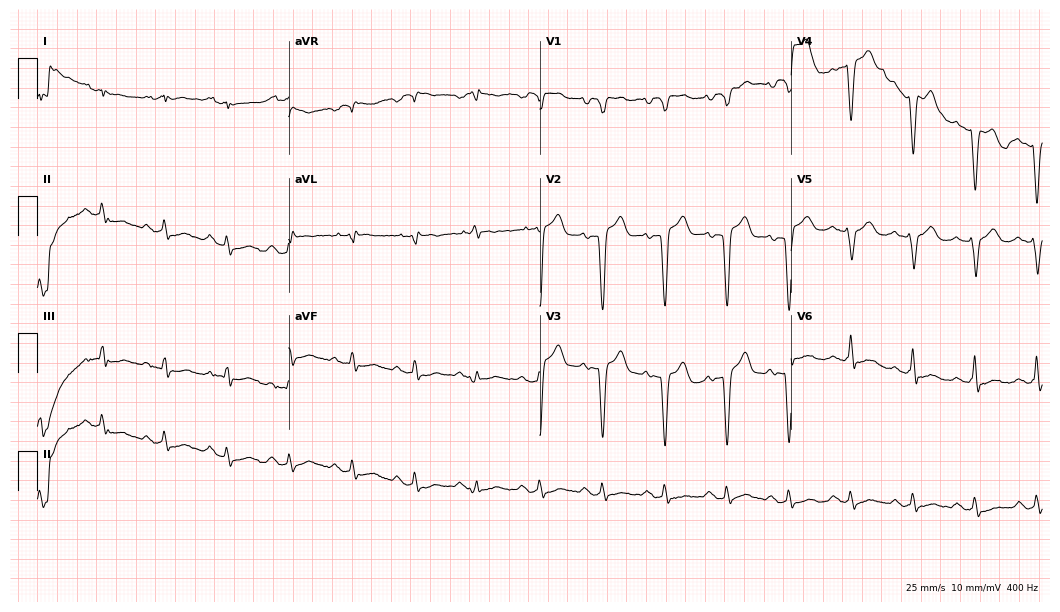
Resting 12-lead electrocardiogram. Patient: a man, 70 years old. None of these six findings is recorded: first-degree AV block, right bundle branch block, left bundle branch block, sinus bradycardia, atrial fibrillation, sinus tachycardia. Findings outside these six are not listed.